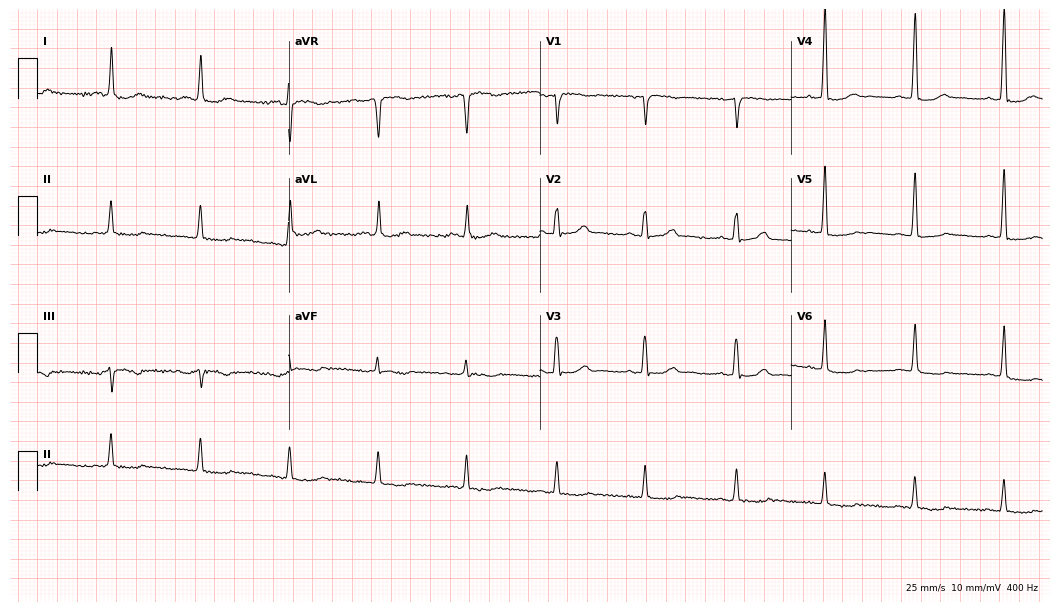
ECG (10.2-second recording at 400 Hz) — a female, 79 years old. Screened for six findings — first-degree AV block, right bundle branch block, left bundle branch block, sinus bradycardia, atrial fibrillation, sinus tachycardia — none is recorded.